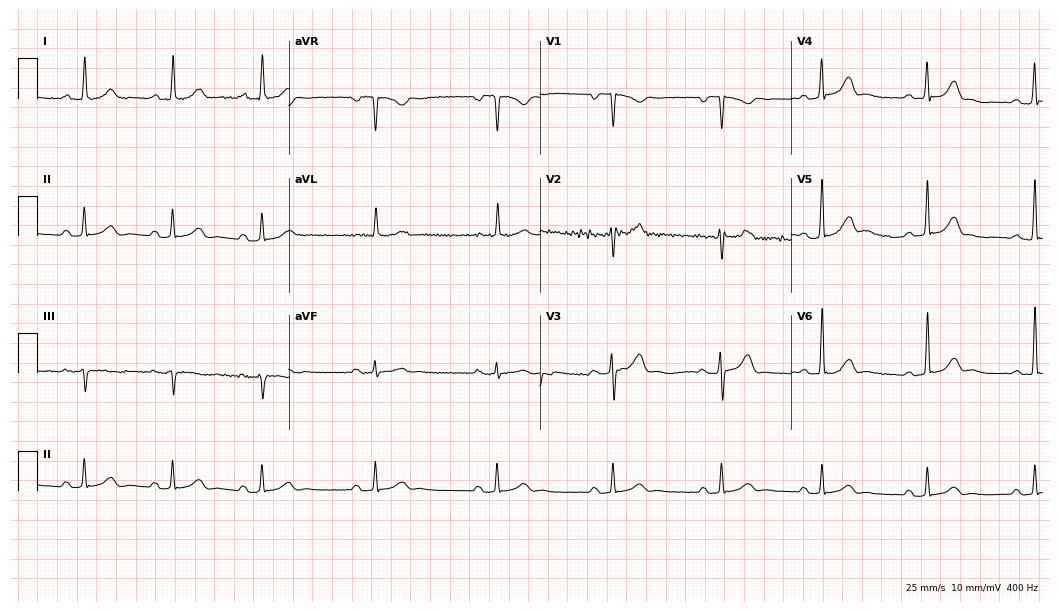
12-lead ECG from a male, 39 years old. Labelled as a normal ECG.